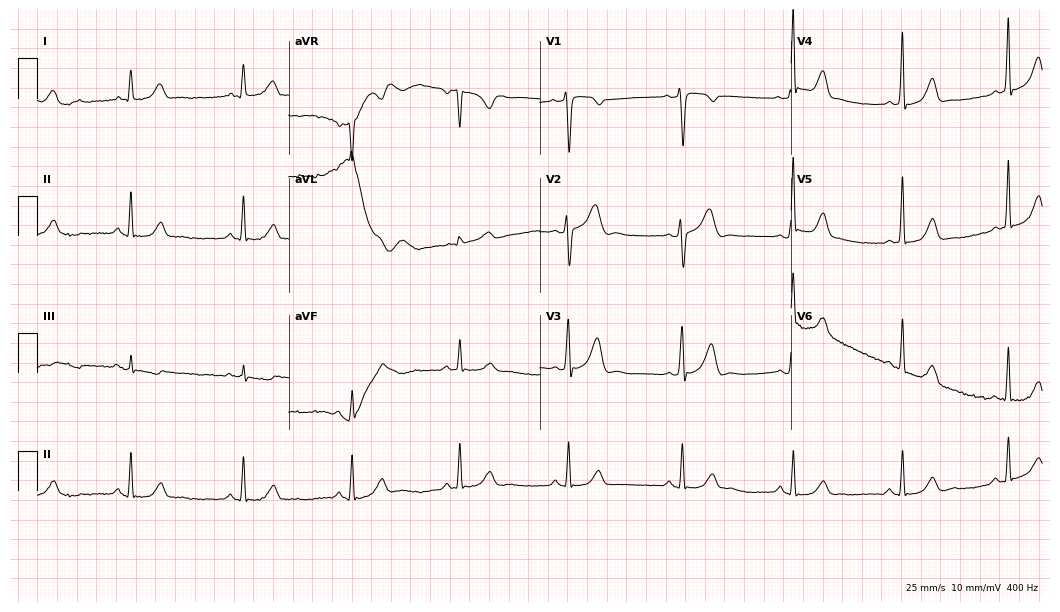
12-lead ECG from a male, 43 years old. Screened for six findings — first-degree AV block, right bundle branch block, left bundle branch block, sinus bradycardia, atrial fibrillation, sinus tachycardia — none is recorded. Other findings, if any, are not listed.